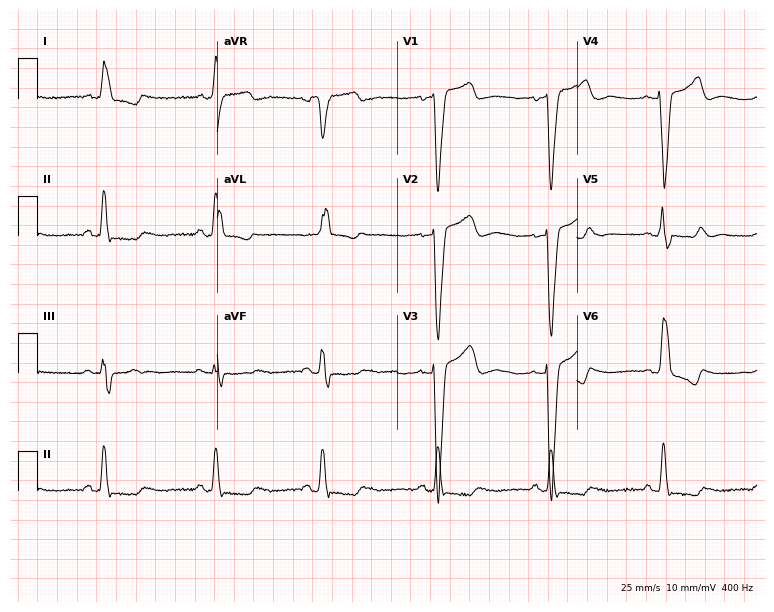
12-lead ECG from a woman, 69 years old. Findings include left bundle branch block (LBBB).